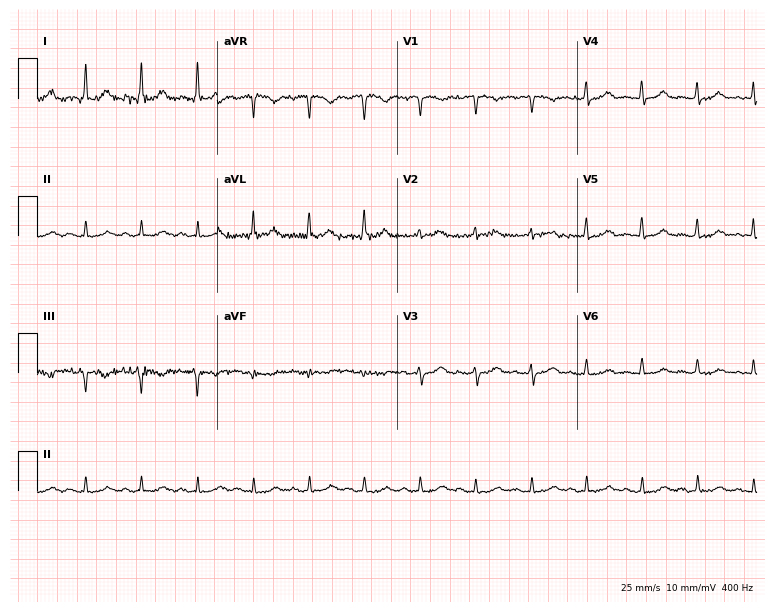
Electrocardiogram, a 56-year-old male patient. Interpretation includes sinus tachycardia (a sinus rate of 100 beats per minute or more).